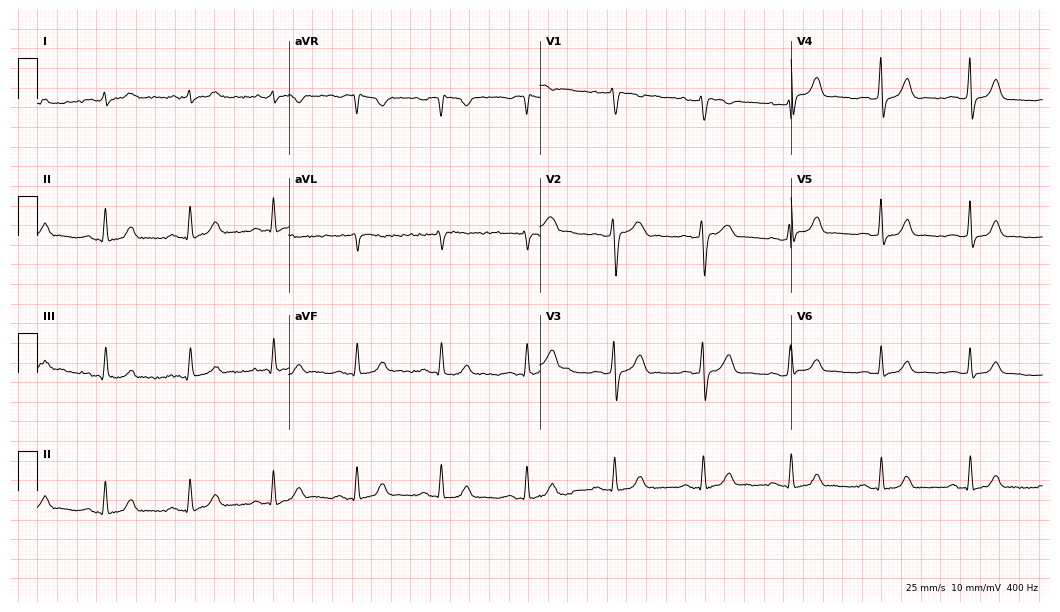
Resting 12-lead electrocardiogram. Patient: a 44-year-old male. Read as a normal ECG.